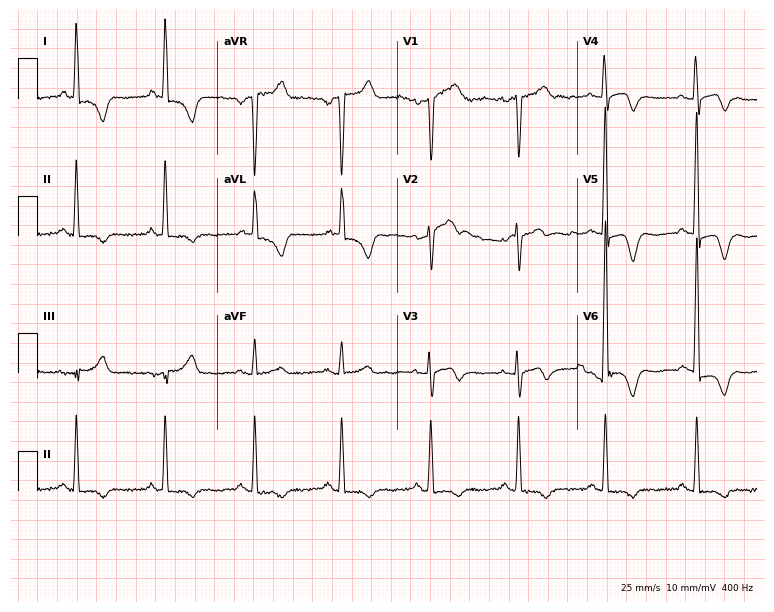
12-lead ECG from a woman, 63 years old. No first-degree AV block, right bundle branch block, left bundle branch block, sinus bradycardia, atrial fibrillation or sinus tachycardia recorded for this tracing. Other findings, if any, are not listed.